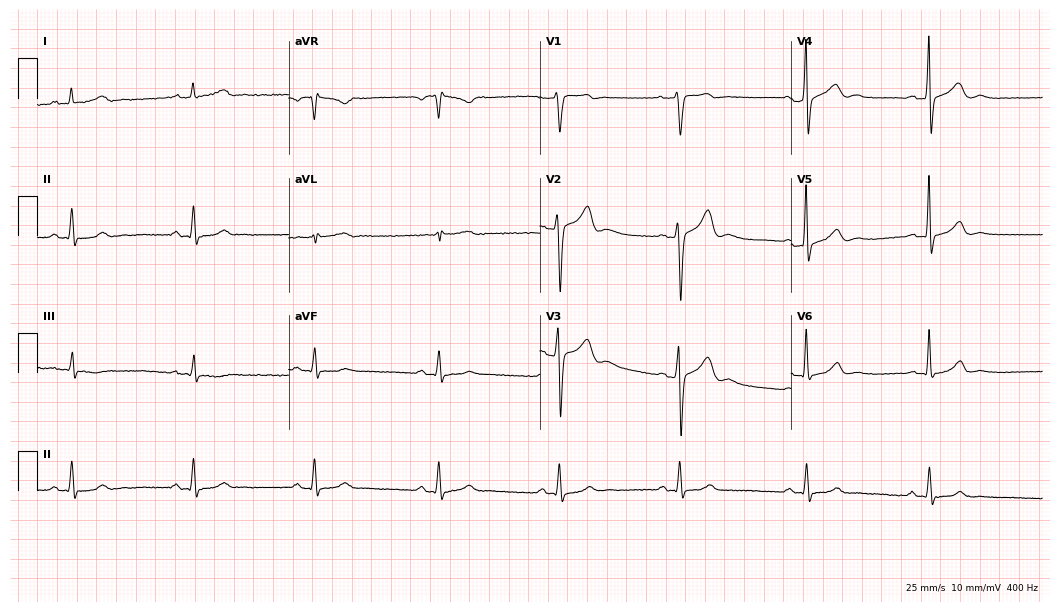
Resting 12-lead electrocardiogram (10.2-second recording at 400 Hz). Patient: a 47-year-old man. The tracing shows sinus bradycardia (a sinus rate of 50 beats per minute or less).